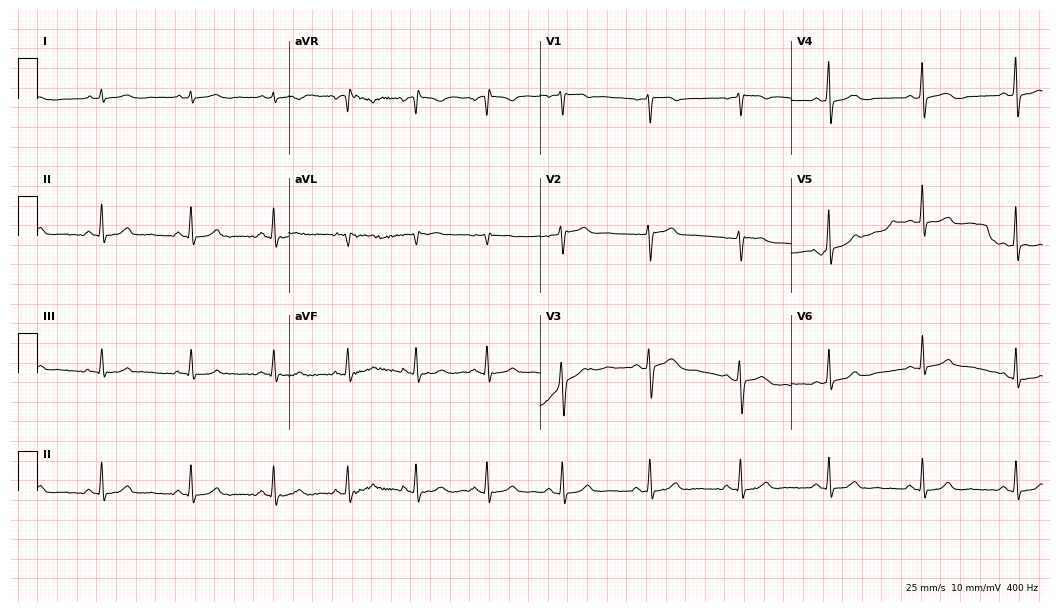
Standard 12-lead ECG recorded from a 40-year-old female. None of these six findings is recorded: first-degree AV block, right bundle branch block, left bundle branch block, sinus bradycardia, atrial fibrillation, sinus tachycardia. Other findings, if any, are not listed.